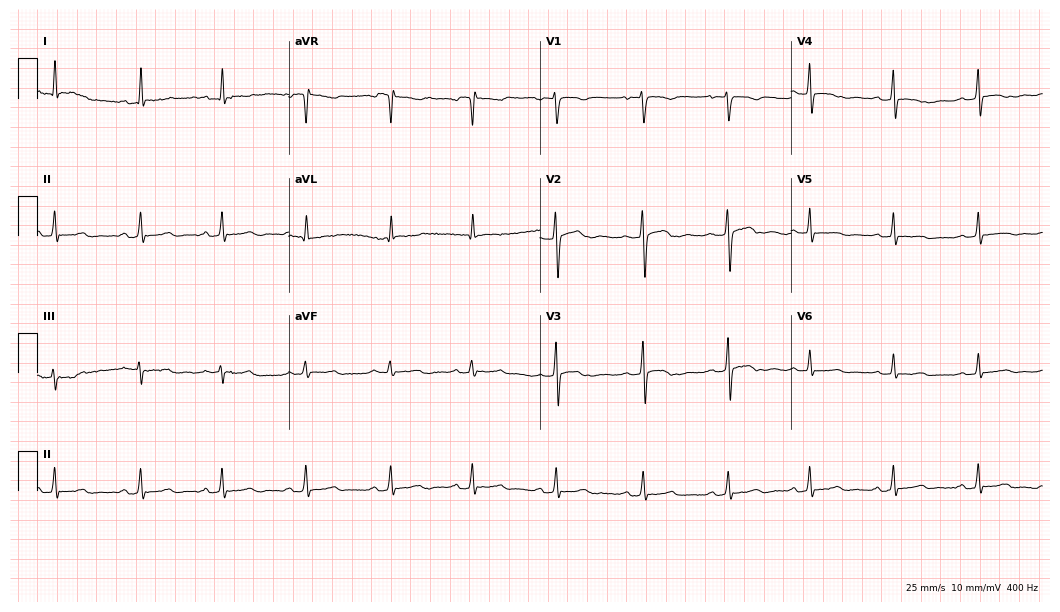
Standard 12-lead ECG recorded from a 26-year-old woman. Read as a normal ECG.